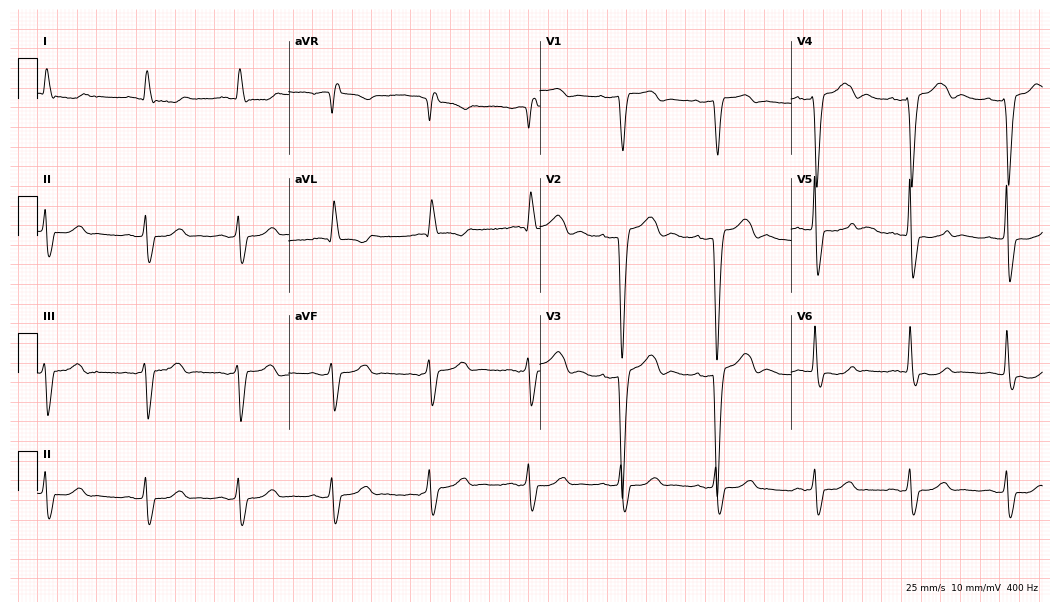
12-lead ECG from a man, 81 years old. Findings include left bundle branch block.